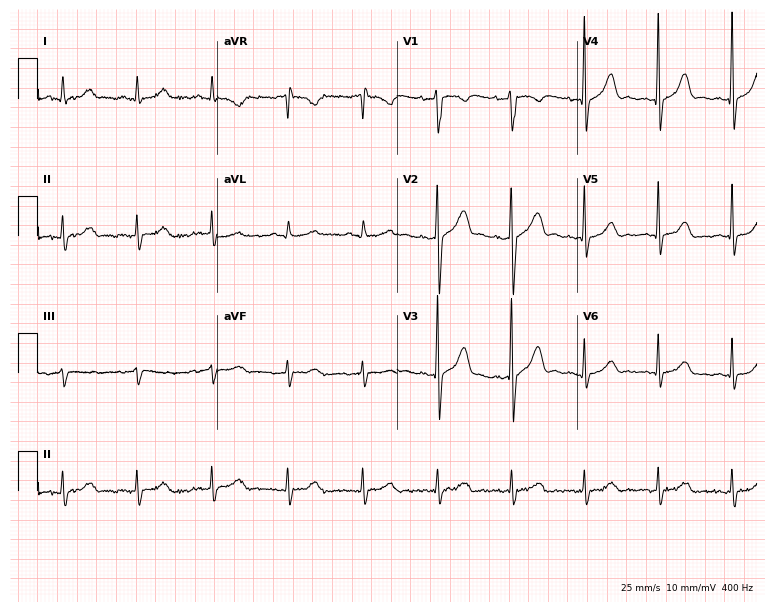
ECG (7.3-second recording at 400 Hz) — a 56-year-old male patient. Screened for six findings — first-degree AV block, right bundle branch block (RBBB), left bundle branch block (LBBB), sinus bradycardia, atrial fibrillation (AF), sinus tachycardia — none is recorded.